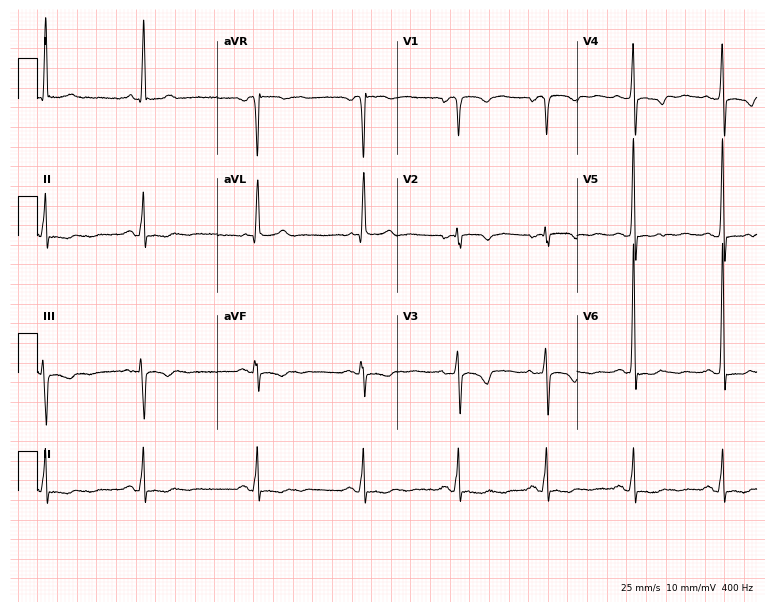
Electrocardiogram (7.3-second recording at 400 Hz), a 66-year-old female. Of the six screened findings (first-degree AV block, right bundle branch block (RBBB), left bundle branch block (LBBB), sinus bradycardia, atrial fibrillation (AF), sinus tachycardia), none is recorded.